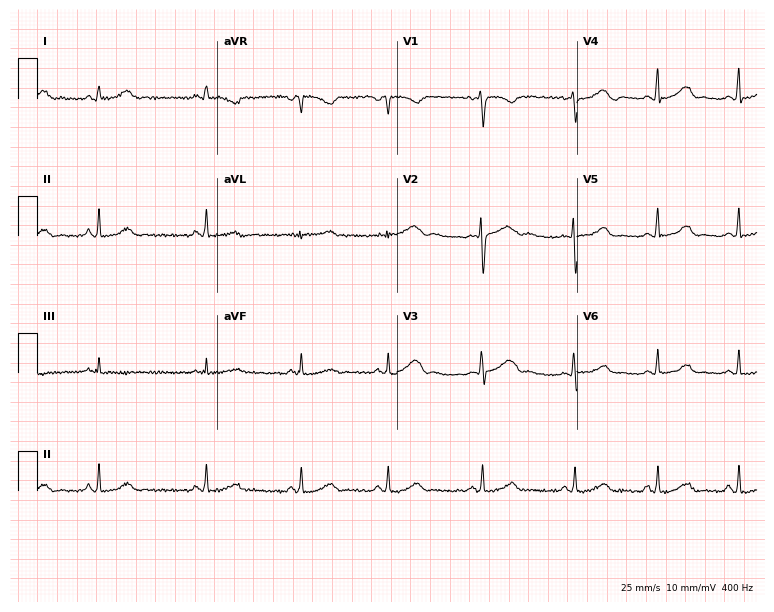
ECG — a female patient, 21 years old. Labelled as a normal ECG.